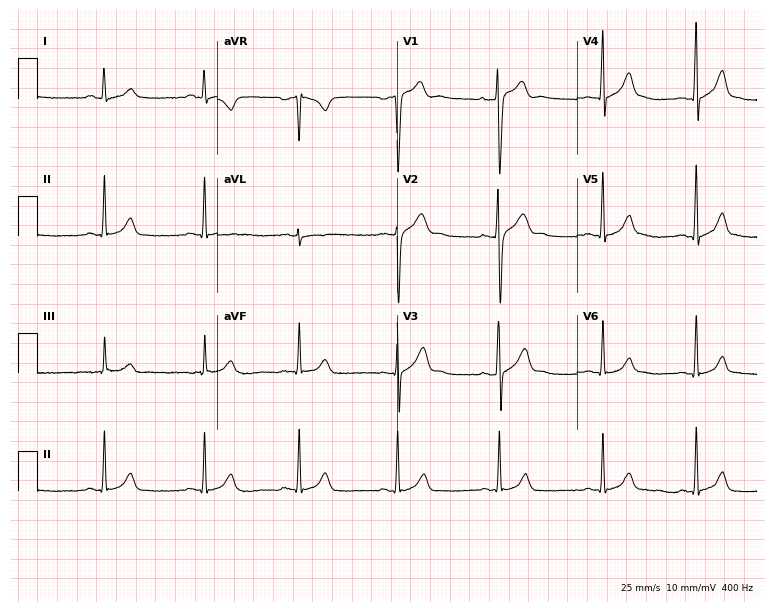
Electrocardiogram, a 32-year-old man. Overall reading on record: normal ECG.